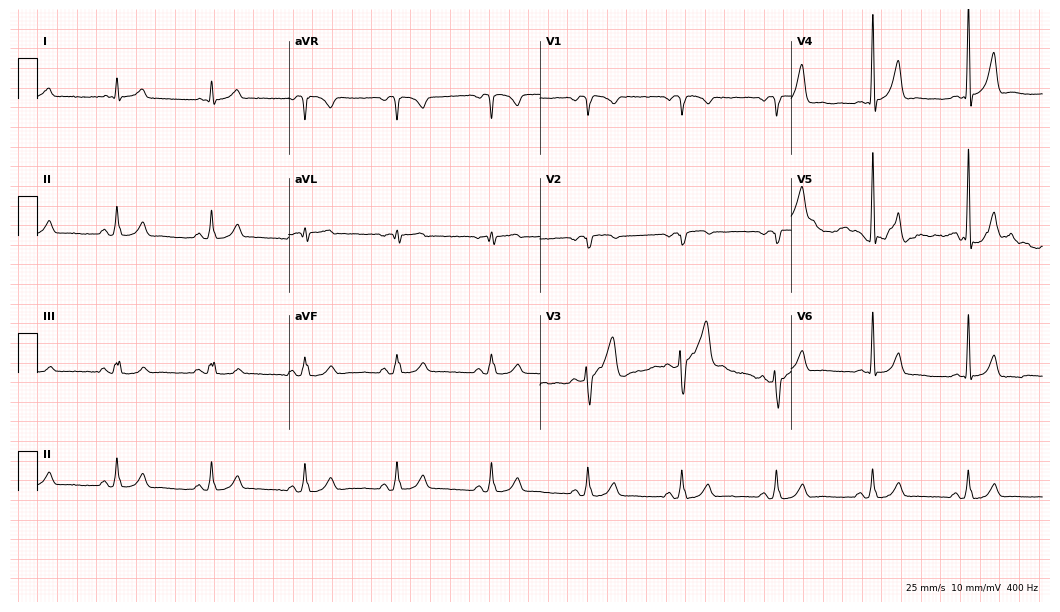
12-lead ECG (10.2-second recording at 400 Hz) from a man, 64 years old. Labelled as a normal ECG.